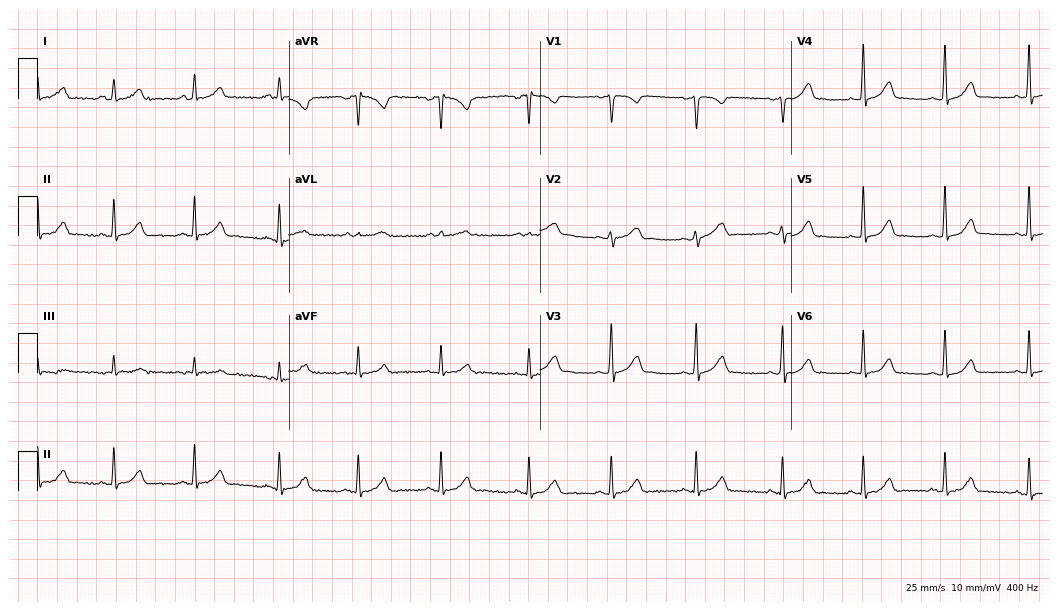
Electrocardiogram, a 26-year-old female. Overall reading on record: normal ECG.